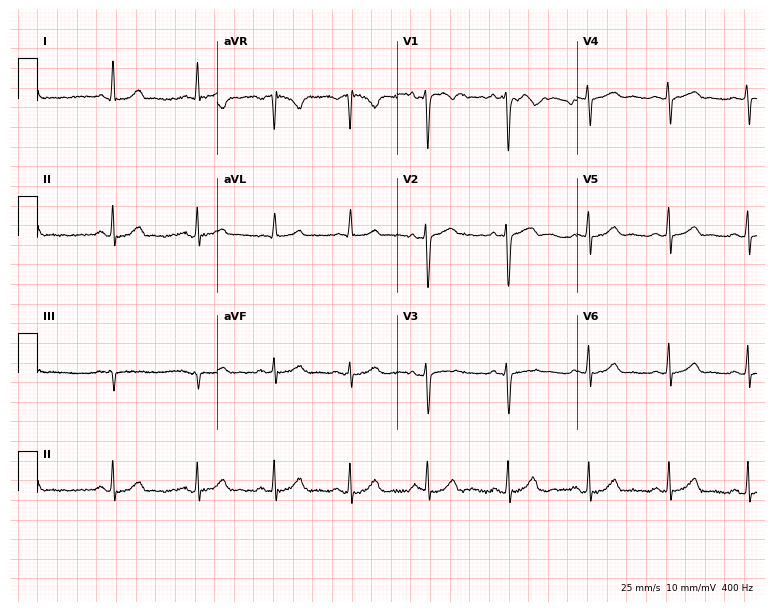
Resting 12-lead electrocardiogram. Patient: a 29-year-old female. None of these six findings is recorded: first-degree AV block, right bundle branch block, left bundle branch block, sinus bradycardia, atrial fibrillation, sinus tachycardia. Other findings, if any, are not listed.